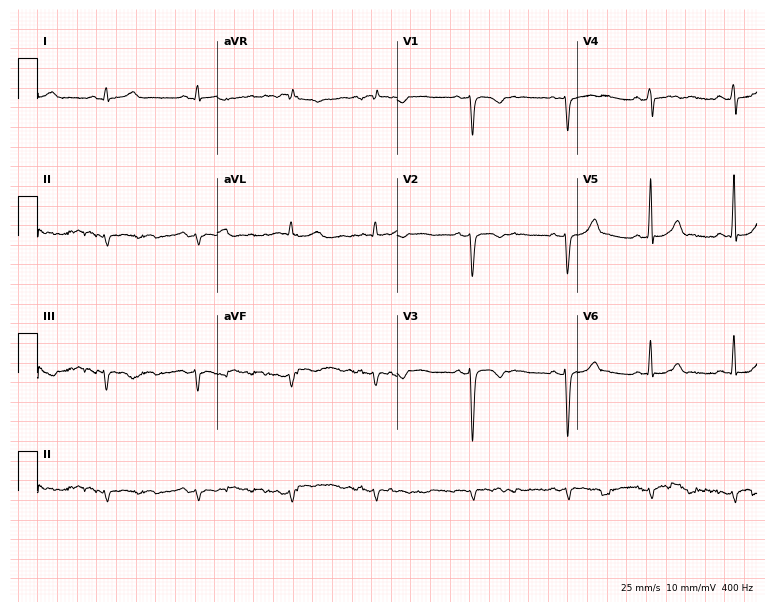
12-lead ECG from a 24-year-old female (7.3-second recording at 400 Hz). No first-degree AV block, right bundle branch block (RBBB), left bundle branch block (LBBB), sinus bradycardia, atrial fibrillation (AF) or sinus tachycardia recorded for this tracing. Findings outside these six are not listed.